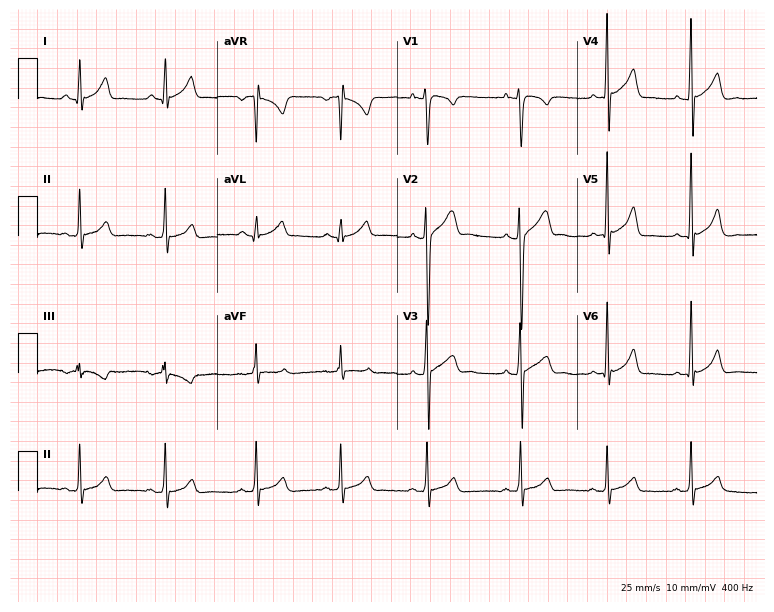
Electrocardiogram (7.3-second recording at 400 Hz), a male patient, 20 years old. Overall reading on record: normal ECG.